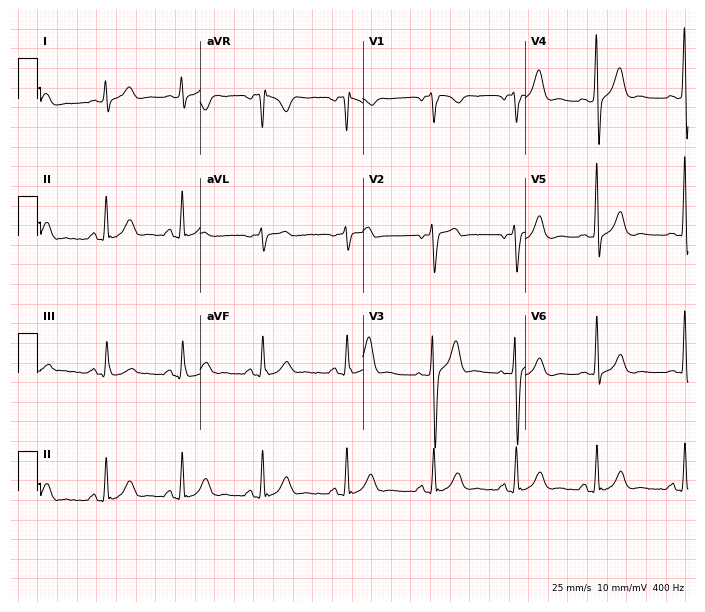
Resting 12-lead electrocardiogram (6.6-second recording at 400 Hz). Patient: a man, 38 years old. None of these six findings is recorded: first-degree AV block, right bundle branch block (RBBB), left bundle branch block (LBBB), sinus bradycardia, atrial fibrillation (AF), sinus tachycardia.